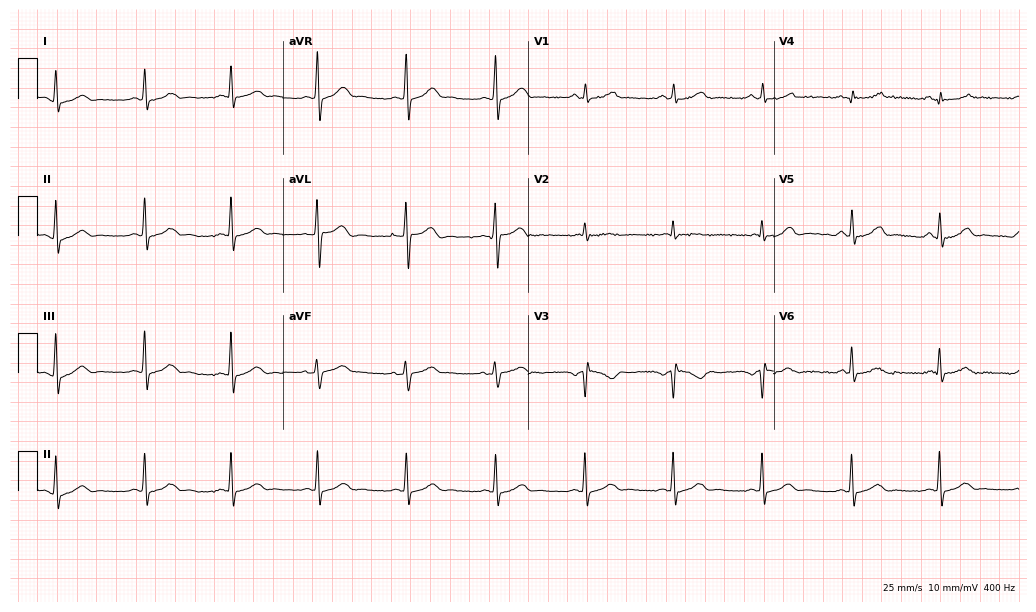
ECG — a man, 29 years old. Screened for six findings — first-degree AV block, right bundle branch block, left bundle branch block, sinus bradycardia, atrial fibrillation, sinus tachycardia — none is recorded.